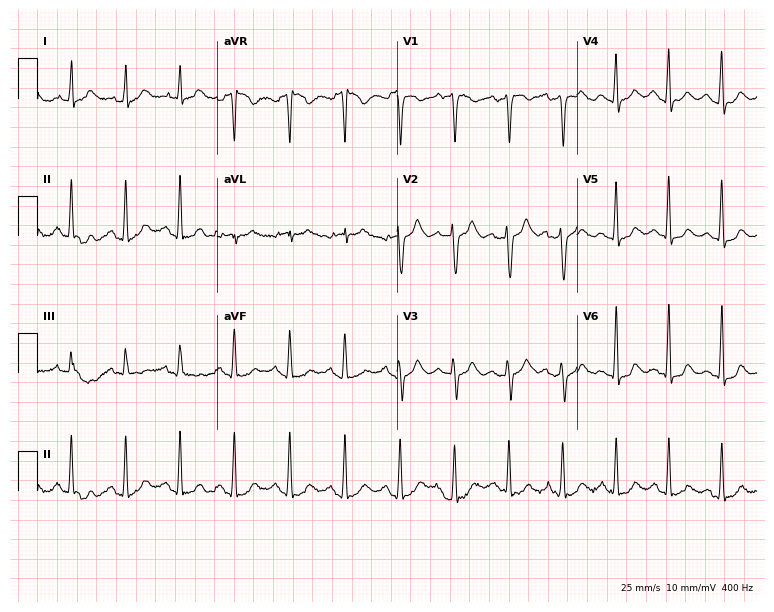
Resting 12-lead electrocardiogram. Patient: a female, 44 years old. The tracing shows sinus tachycardia (a sinus rate of 100 beats per minute or more).